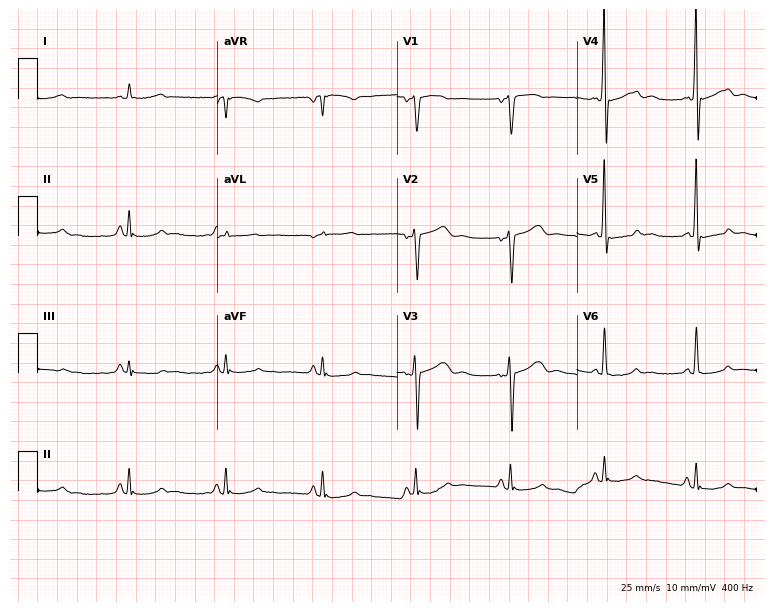
12-lead ECG from a male, 57 years old. No first-degree AV block, right bundle branch block, left bundle branch block, sinus bradycardia, atrial fibrillation or sinus tachycardia recorded for this tracing. Findings outside these six are not listed.